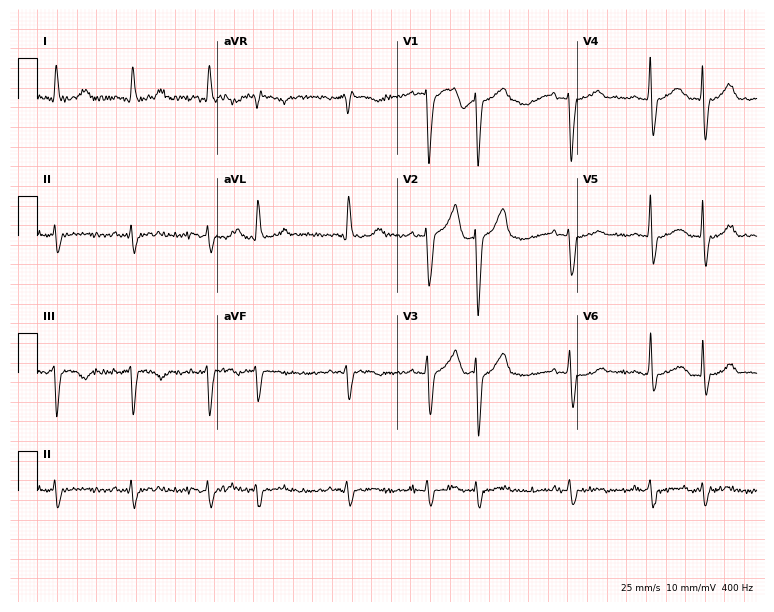
ECG — a man, 66 years old. Findings include left bundle branch block (LBBB).